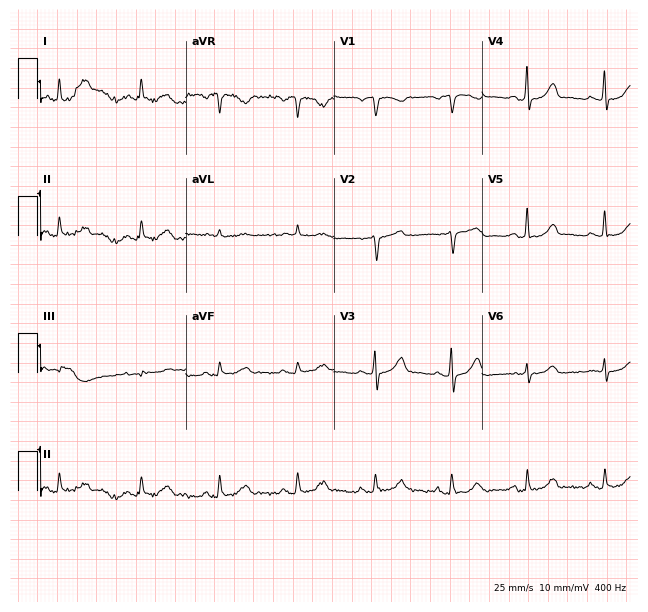
Electrocardiogram (6-second recording at 400 Hz), a female, 67 years old. Of the six screened findings (first-degree AV block, right bundle branch block (RBBB), left bundle branch block (LBBB), sinus bradycardia, atrial fibrillation (AF), sinus tachycardia), none is recorded.